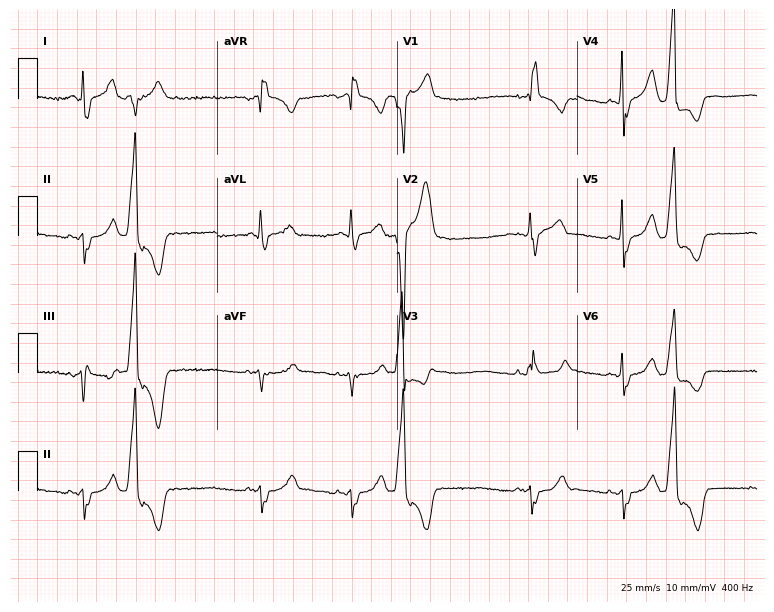
12-lead ECG from a male, 70 years old (7.3-second recording at 400 Hz). Shows right bundle branch block.